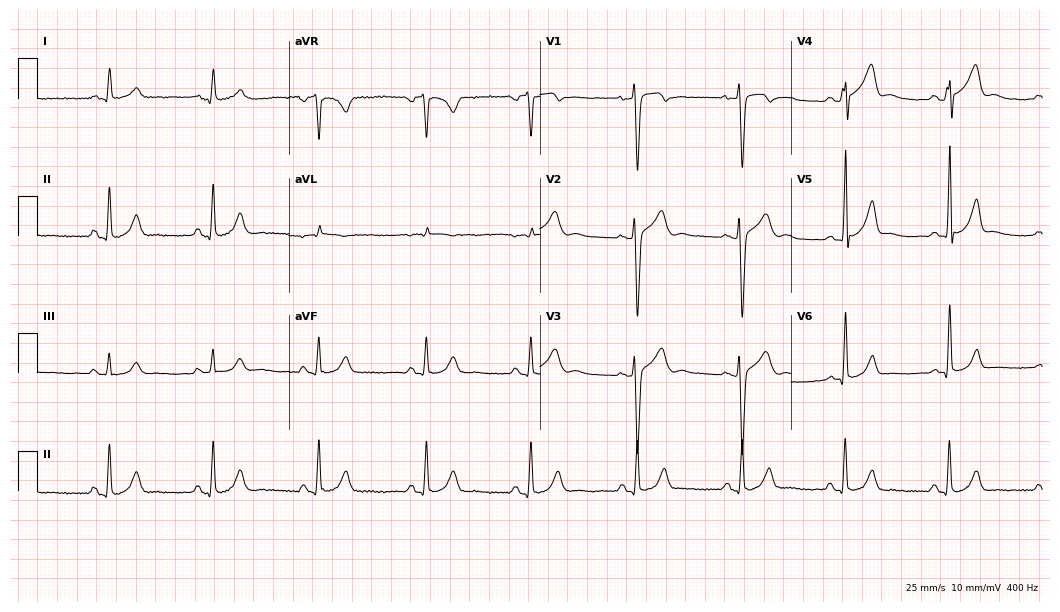
Electrocardiogram (10.2-second recording at 400 Hz), a 52-year-old male patient. Overall reading on record: normal ECG.